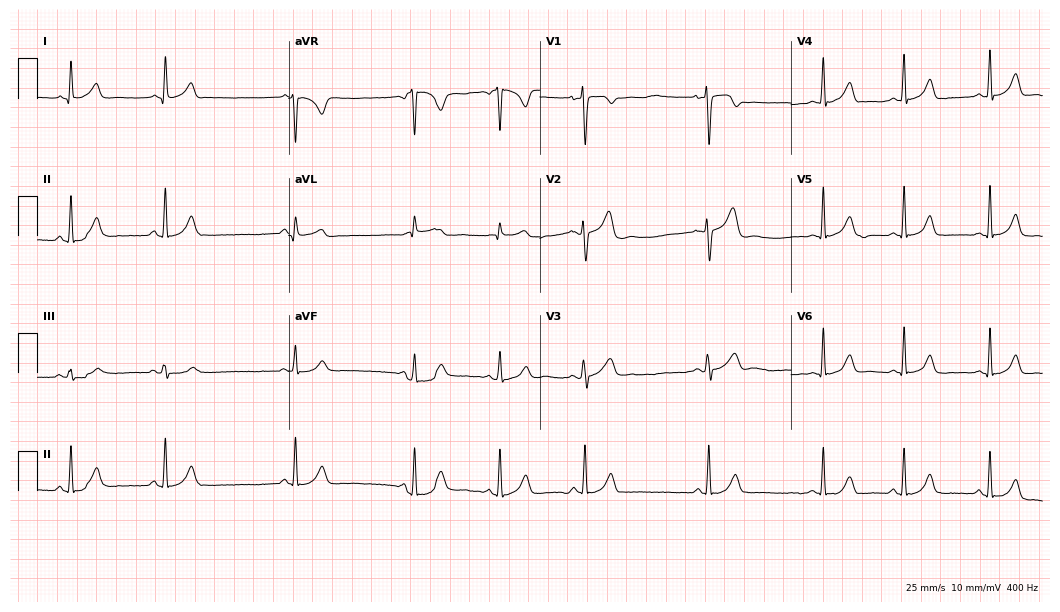
Electrocardiogram (10.2-second recording at 400 Hz), a woman, 35 years old. Overall reading on record: normal ECG.